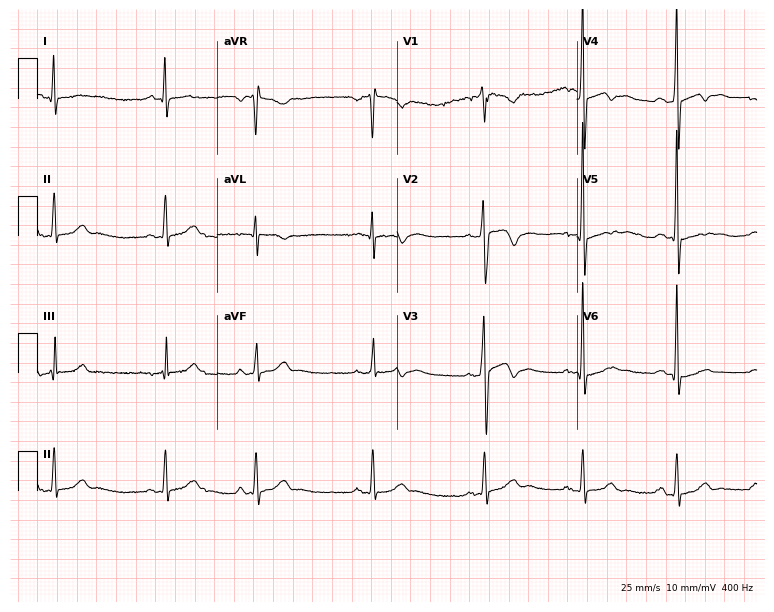
Standard 12-lead ECG recorded from a male, 37 years old (7.3-second recording at 400 Hz). Read as a normal ECG.